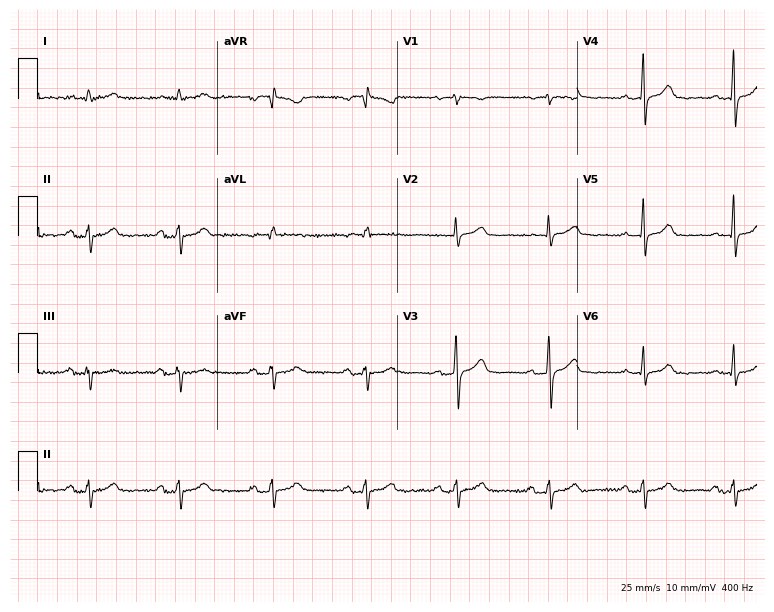
12-lead ECG from a 50-year-old female (7.3-second recording at 400 Hz). Recorded interpretation: within normal limits.